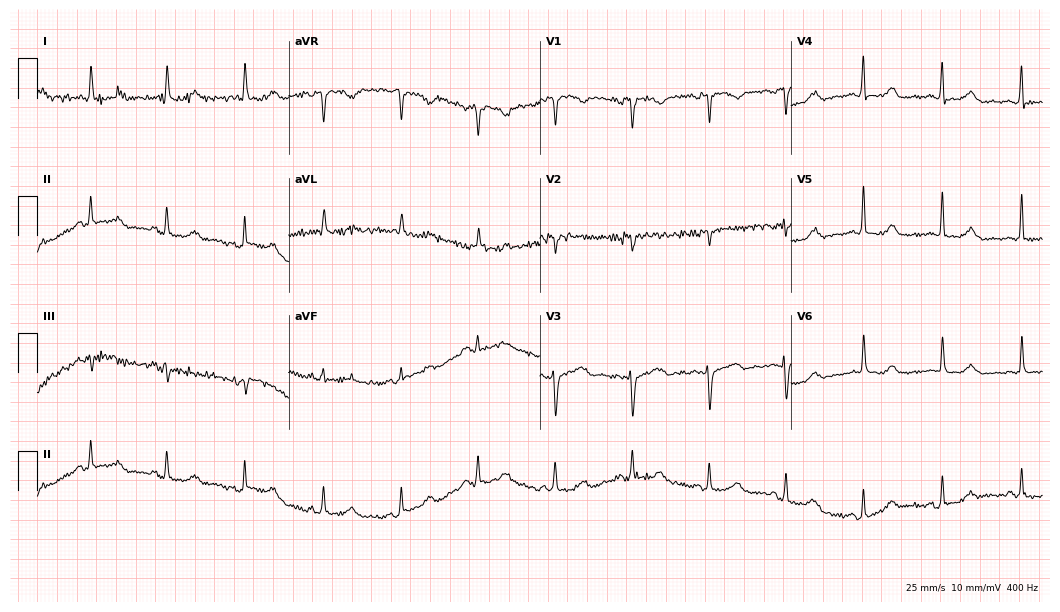
12-lead ECG from a 60-year-old female (10.2-second recording at 400 Hz). No first-degree AV block, right bundle branch block (RBBB), left bundle branch block (LBBB), sinus bradycardia, atrial fibrillation (AF) or sinus tachycardia recorded for this tracing. Only these six findings were labelled.